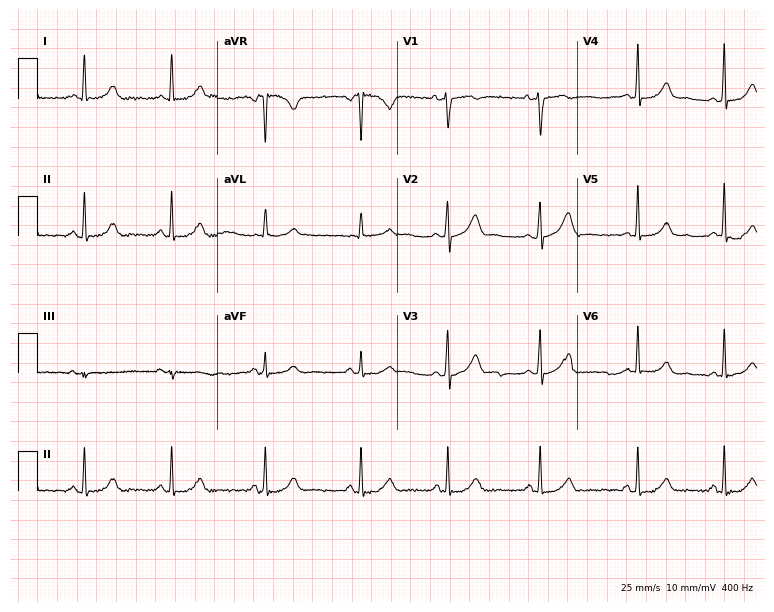
12-lead ECG from a woman, 47 years old. Recorded interpretation: within normal limits.